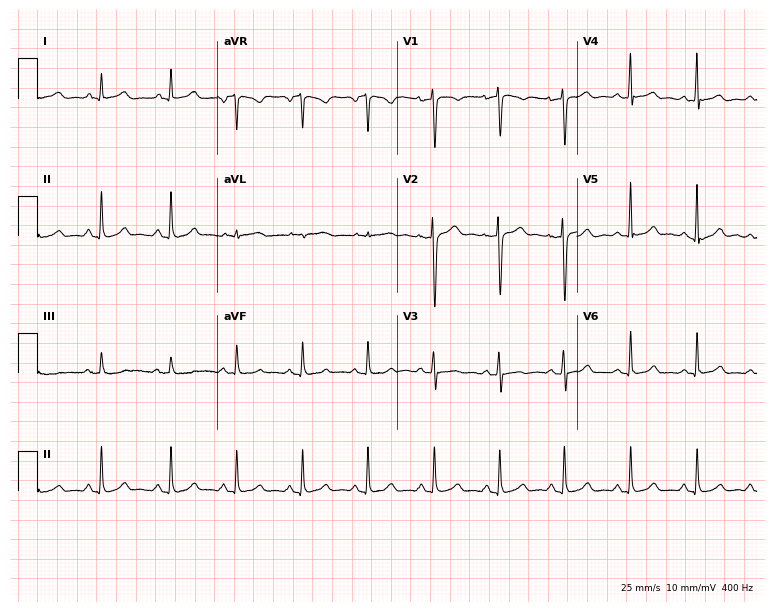
Resting 12-lead electrocardiogram. Patient: a female, 34 years old. Read as a normal ECG.